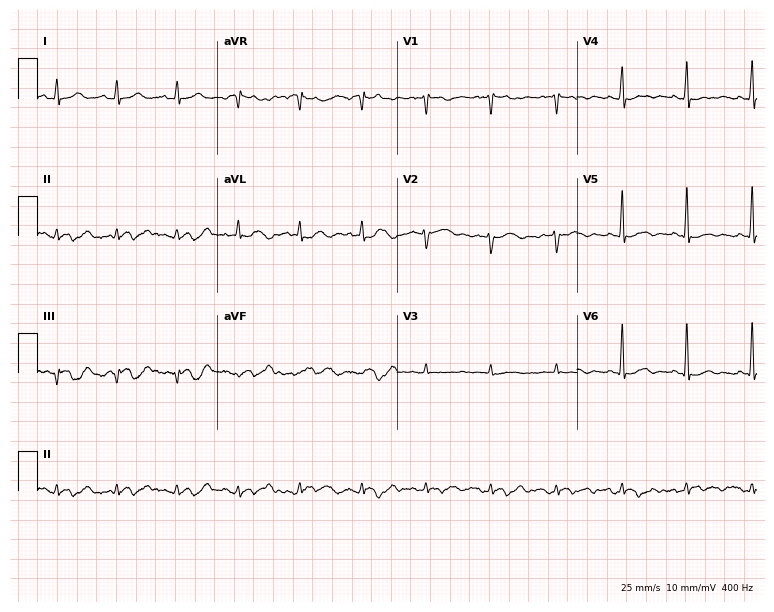
ECG — a woman, 17 years old. Screened for six findings — first-degree AV block, right bundle branch block (RBBB), left bundle branch block (LBBB), sinus bradycardia, atrial fibrillation (AF), sinus tachycardia — none is recorded. Only these six findings were labelled.